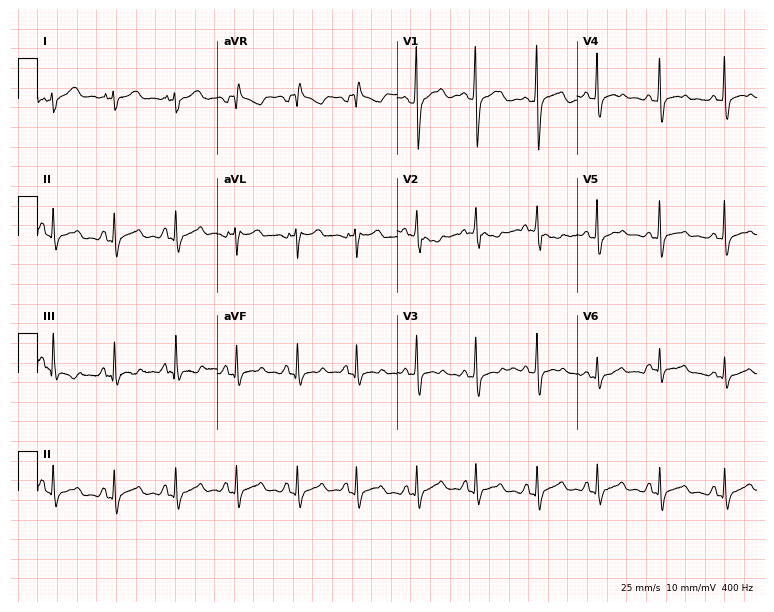
Electrocardiogram (7.3-second recording at 400 Hz), a 19-year-old female patient. Of the six screened findings (first-degree AV block, right bundle branch block (RBBB), left bundle branch block (LBBB), sinus bradycardia, atrial fibrillation (AF), sinus tachycardia), none is recorded.